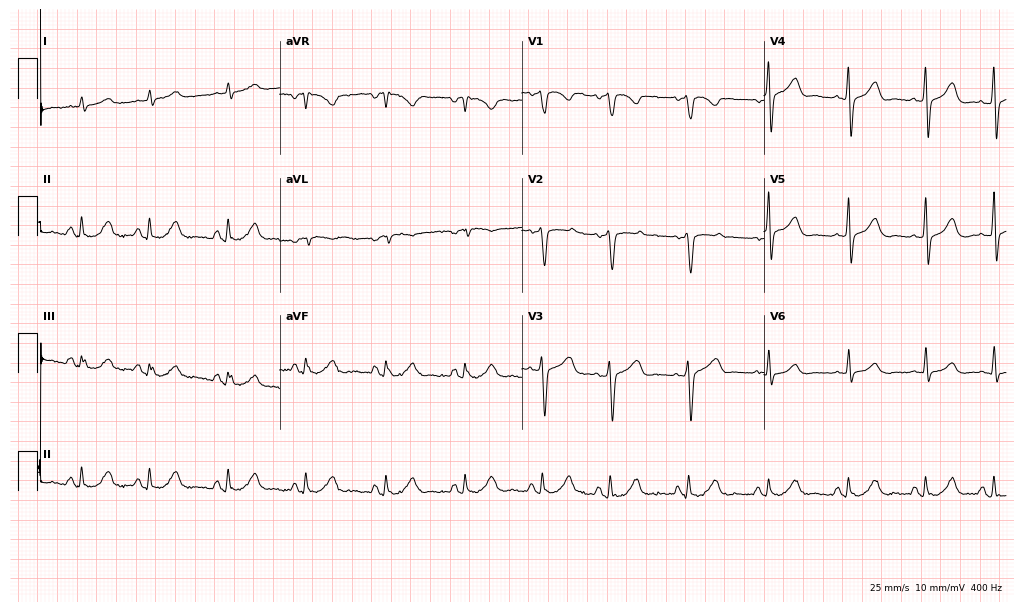
Standard 12-lead ECG recorded from a man, 57 years old. None of these six findings is recorded: first-degree AV block, right bundle branch block (RBBB), left bundle branch block (LBBB), sinus bradycardia, atrial fibrillation (AF), sinus tachycardia. Other findings, if any, are not listed.